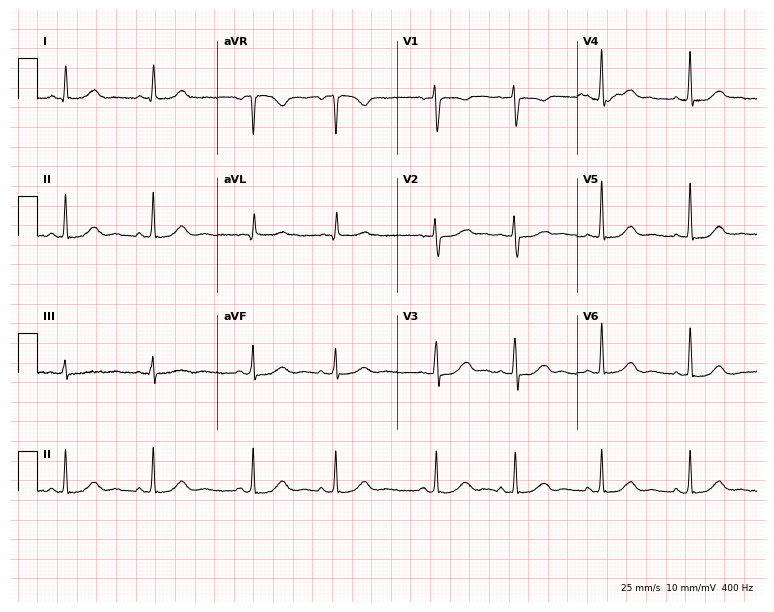
Resting 12-lead electrocardiogram. Patient: a 59-year-old woman. Read as a normal ECG.